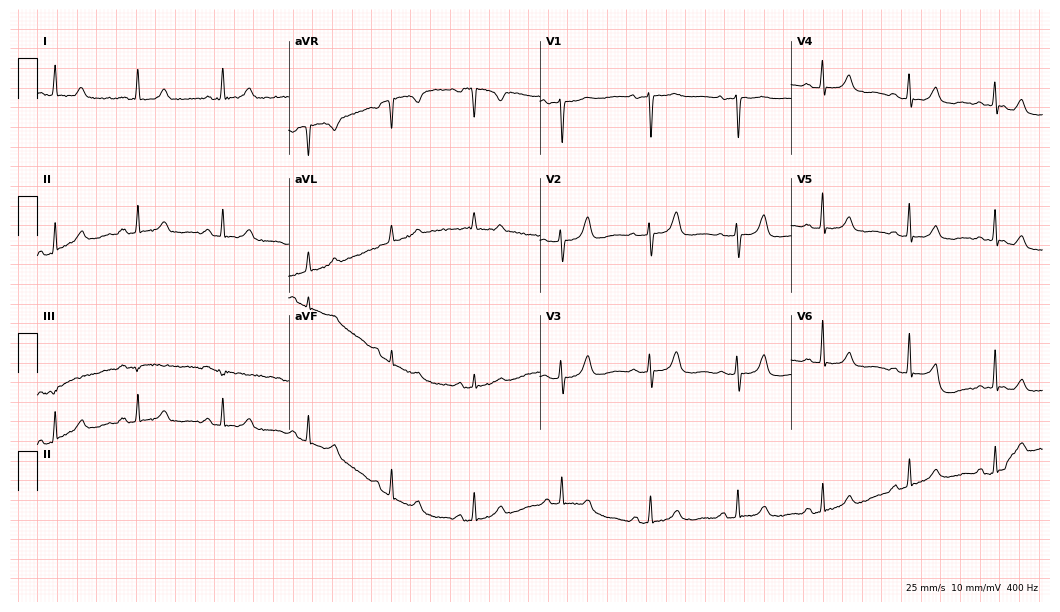
Electrocardiogram (10.2-second recording at 400 Hz), a 77-year-old woman. Overall reading on record: normal ECG.